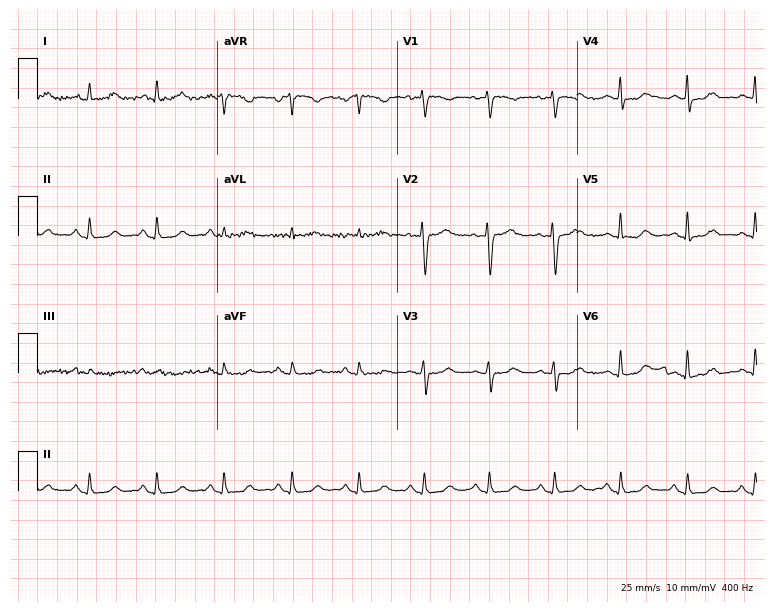
Electrocardiogram, a female patient, 58 years old. Overall reading on record: normal ECG.